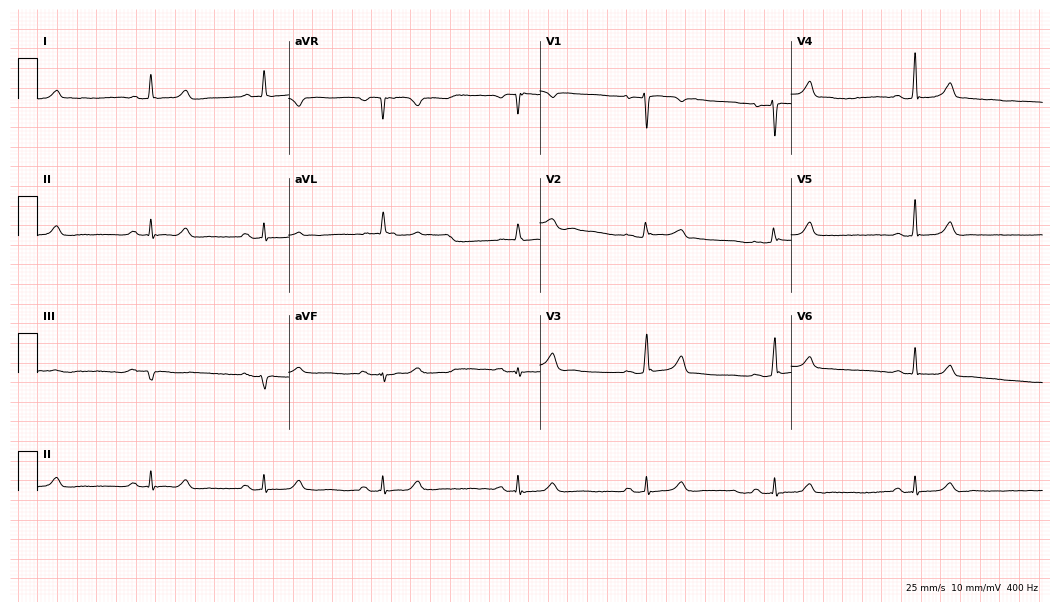
ECG — a female, 58 years old. Labelled as a normal ECG.